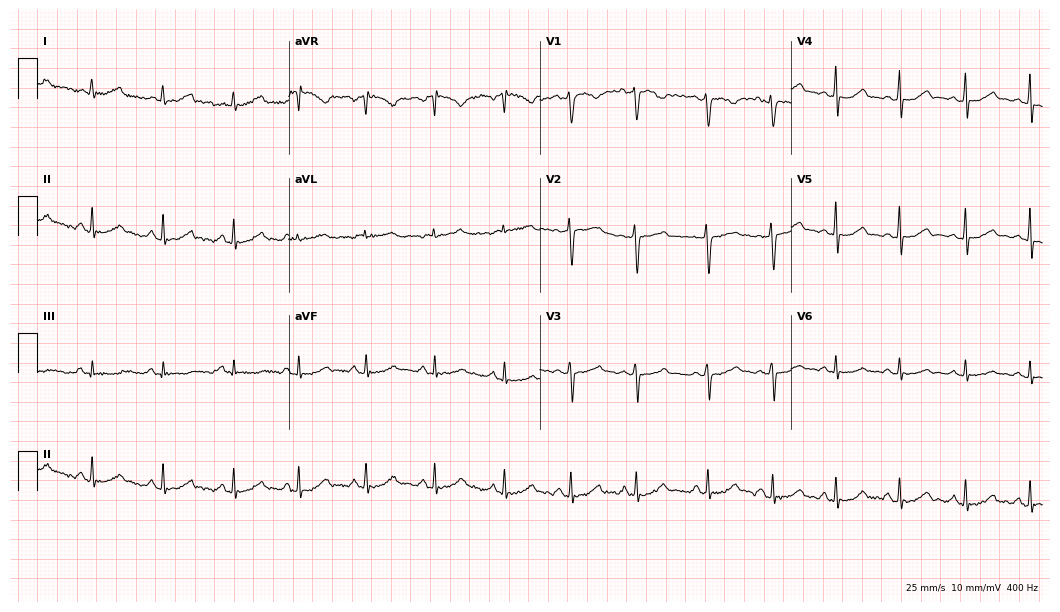
Standard 12-lead ECG recorded from a female, 32 years old. Read as a normal ECG.